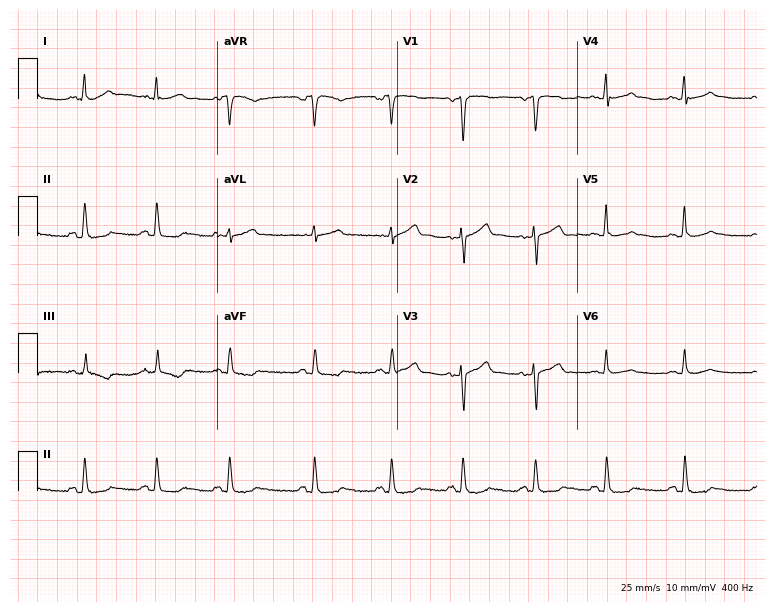
12-lead ECG (7.3-second recording at 400 Hz) from a 44-year-old female patient. Screened for six findings — first-degree AV block, right bundle branch block, left bundle branch block, sinus bradycardia, atrial fibrillation, sinus tachycardia — none is recorded. Other findings, if any, are not listed.